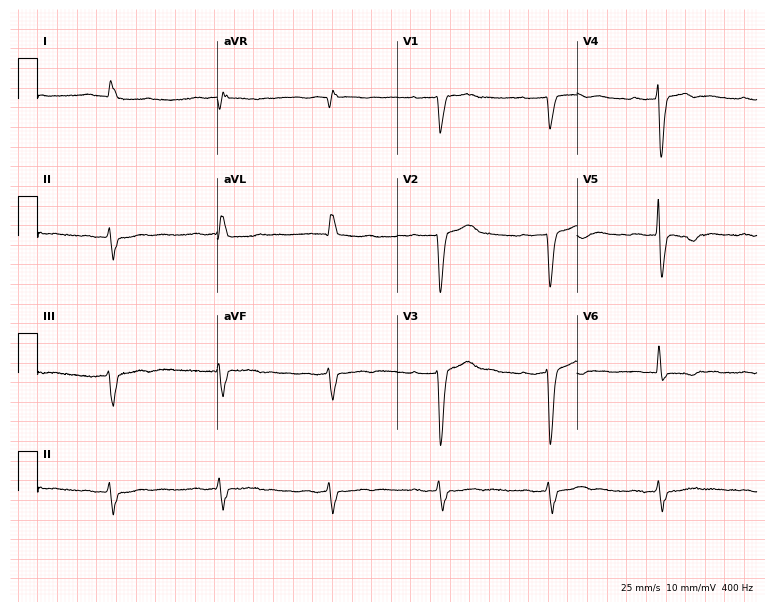
12-lead ECG (7.3-second recording at 400 Hz) from a 79-year-old male patient. Findings include first-degree AV block, left bundle branch block.